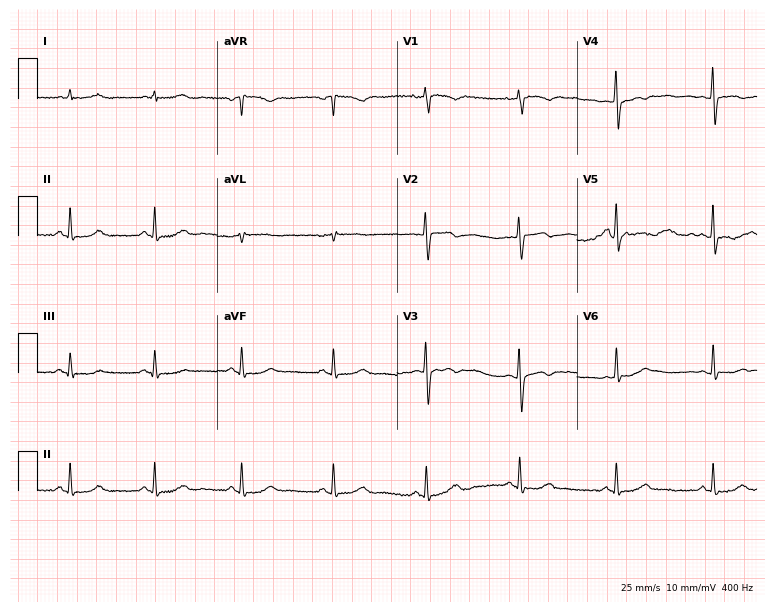
ECG — a female, 54 years old. Screened for six findings — first-degree AV block, right bundle branch block, left bundle branch block, sinus bradycardia, atrial fibrillation, sinus tachycardia — none is recorded.